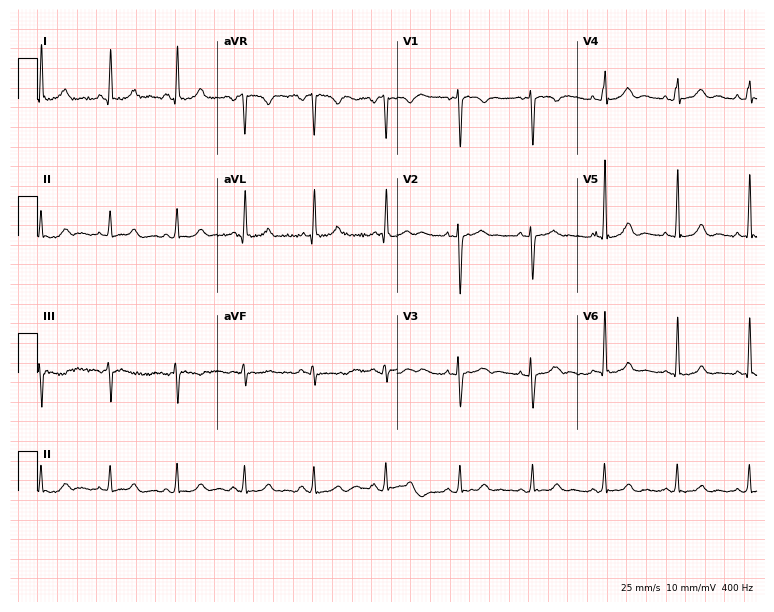
12-lead ECG from a woman, 38 years old. No first-degree AV block, right bundle branch block (RBBB), left bundle branch block (LBBB), sinus bradycardia, atrial fibrillation (AF) or sinus tachycardia recorded for this tracing. Findings outside these six are not listed.